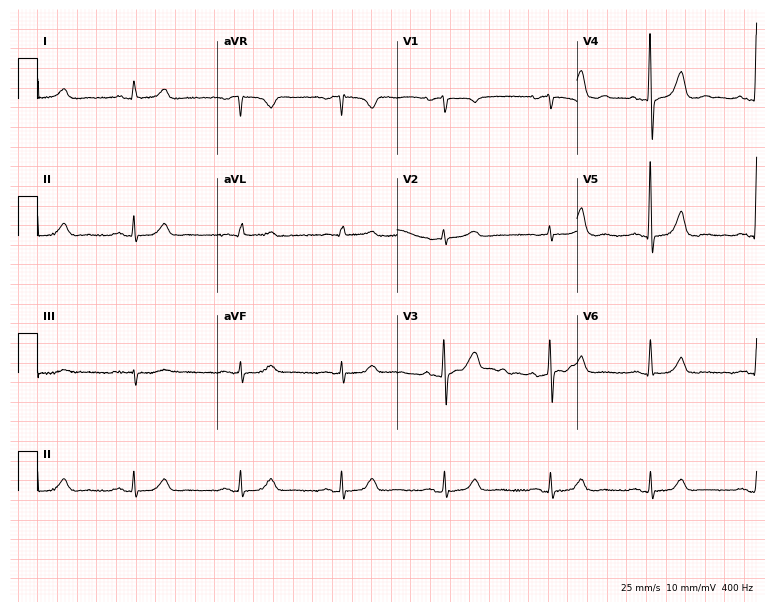
Standard 12-lead ECG recorded from a 68-year-old female patient. None of these six findings is recorded: first-degree AV block, right bundle branch block, left bundle branch block, sinus bradycardia, atrial fibrillation, sinus tachycardia.